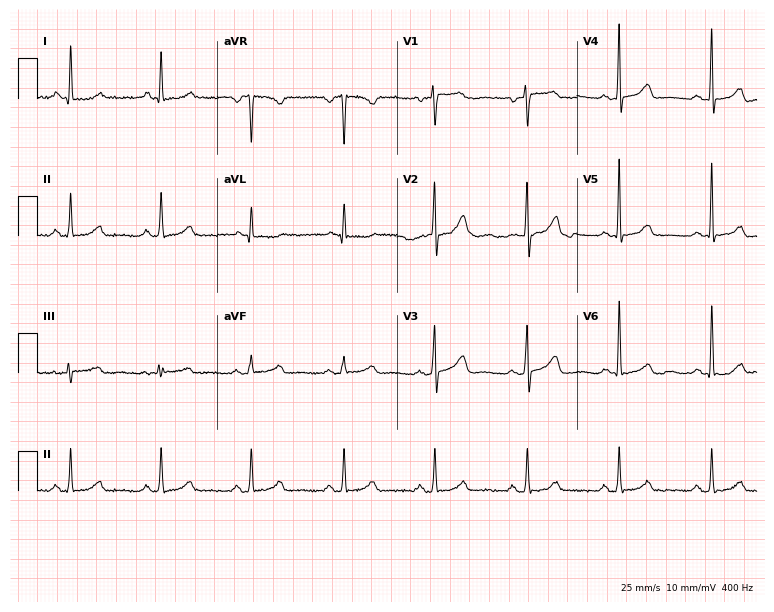
Electrocardiogram (7.3-second recording at 400 Hz), a 56-year-old female. Overall reading on record: normal ECG.